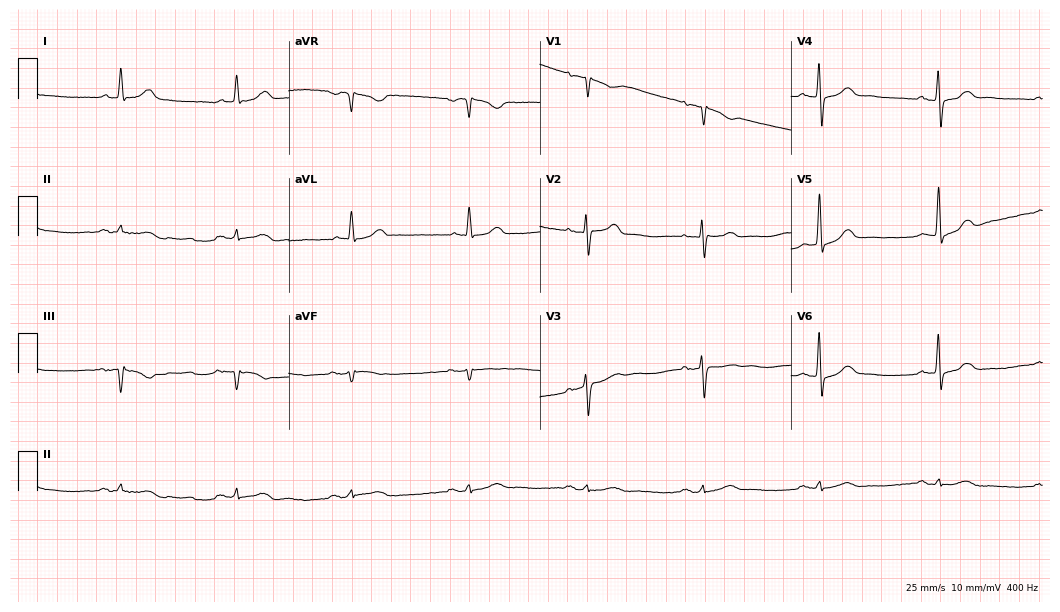
Resting 12-lead electrocardiogram (10.2-second recording at 400 Hz). Patient: a male, 87 years old. None of these six findings is recorded: first-degree AV block, right bundle branch block, left bundle branch block, sinus bradycardia, atrial fibrillation, sinus tachycardia. Other findings, if any, are not listed.